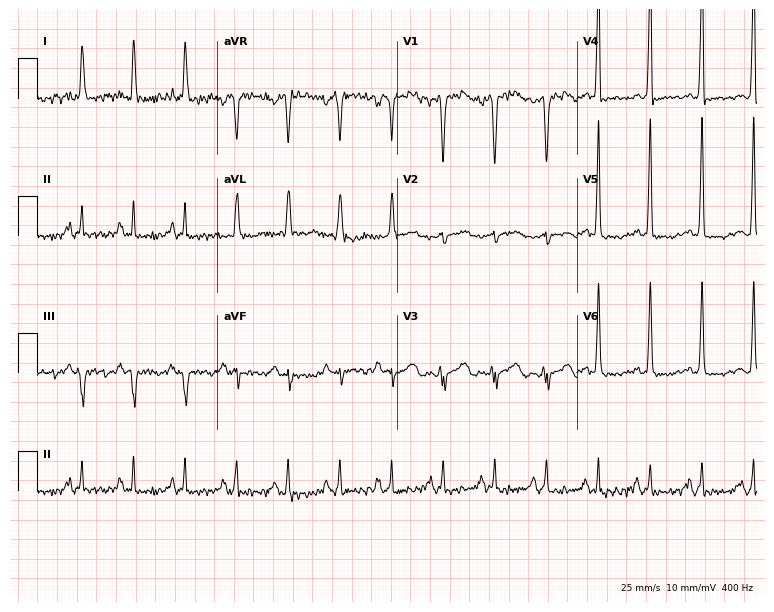
Standard 12-lead ECG recorded from a 53-year-old woman. The tracing shows sinus tachycardia (a sinus rate of 100 beats per minute or more).